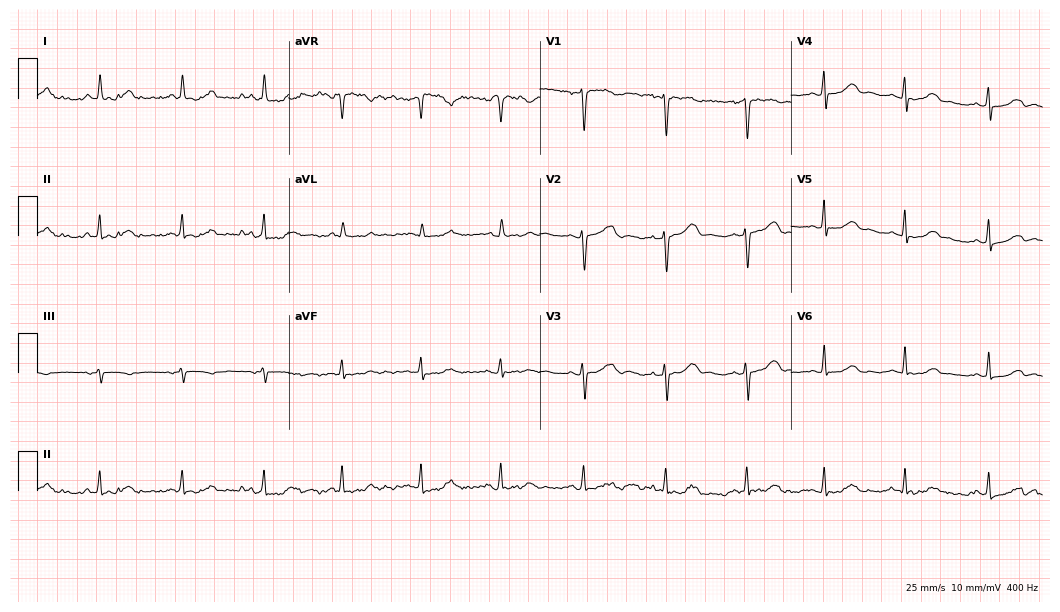
ECG (10.2-second recording at 400 Hz) — a female patient, 43 years old. Labelled as a normal ECG.